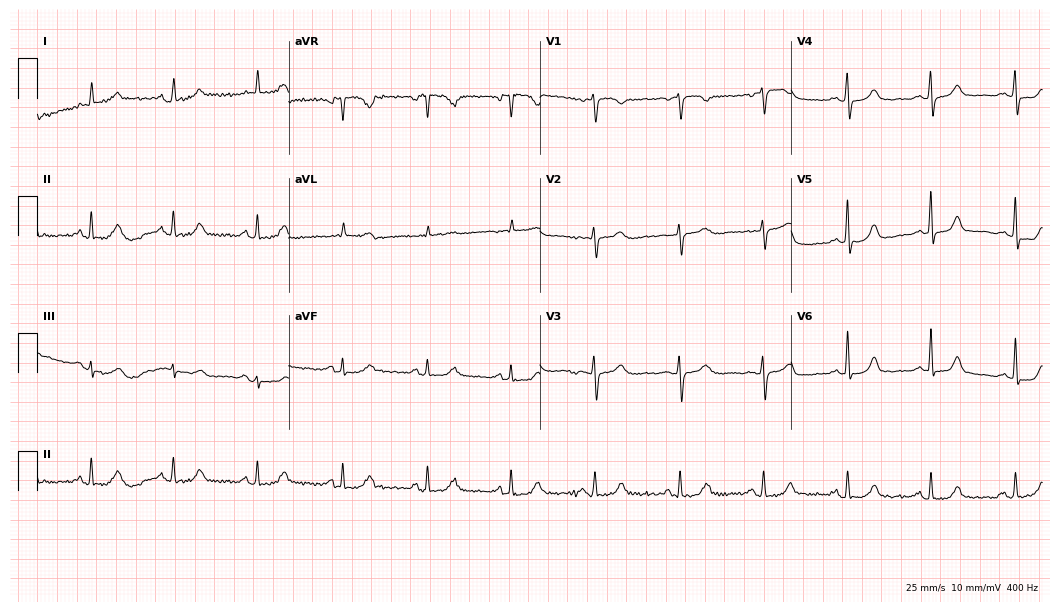
Standard 12-lead ECG recorded from a 69-year-old woman (10.2-second recording at 400 Hz). Read as a normal ECG.